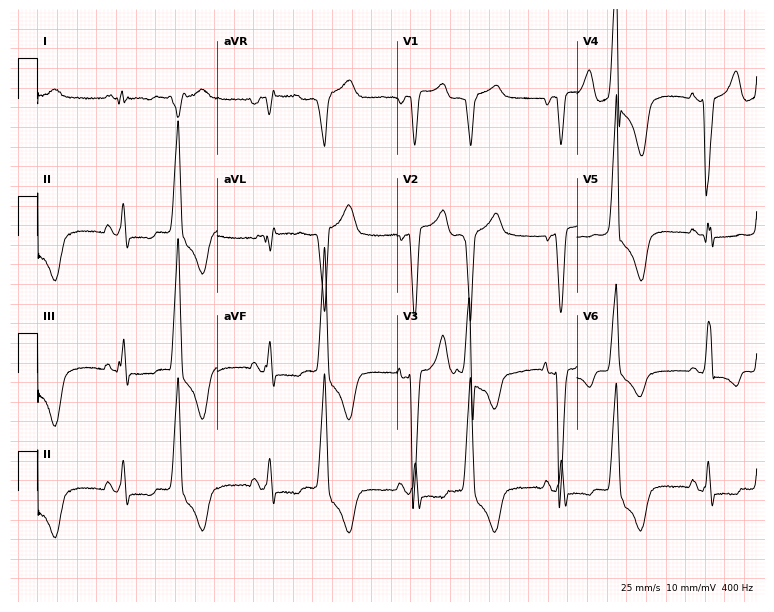
ECG (7.3-second recording at 400 Hz) — a 51-year-old woman. Screened for six findings — first-degree AV block, right bundle branch block, left bundle branch block, sinus bradycardia, atrial fibrillation, sinus tachycardia — none is recorded.